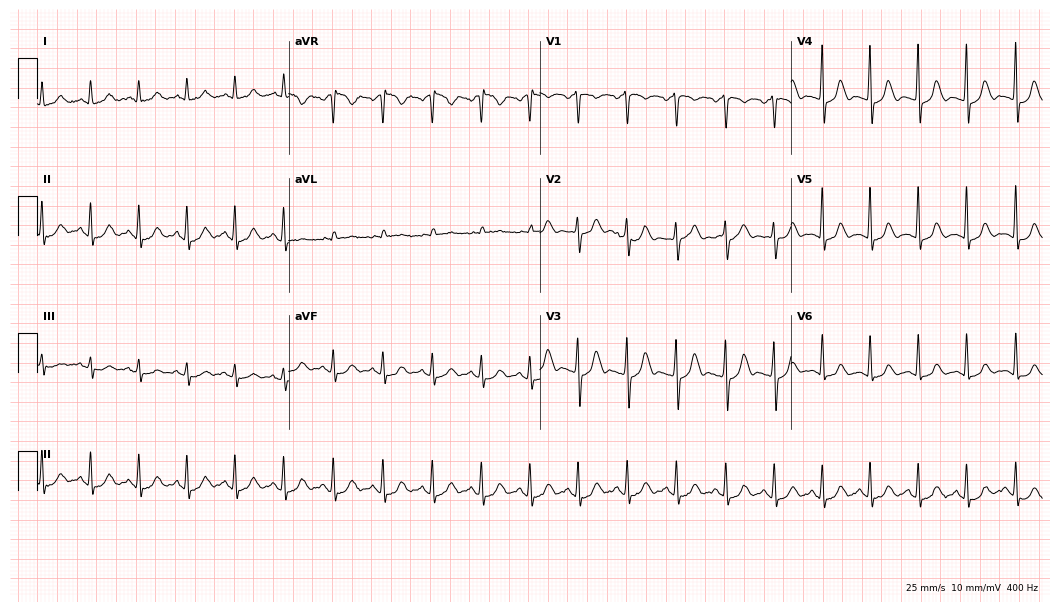
Electrocardiogram (10.2-second recording at 400 Hz), a woman, 41 years old. Interpretation includes sinus tachycardia (a sinus rate of 100 beats per minute or more).